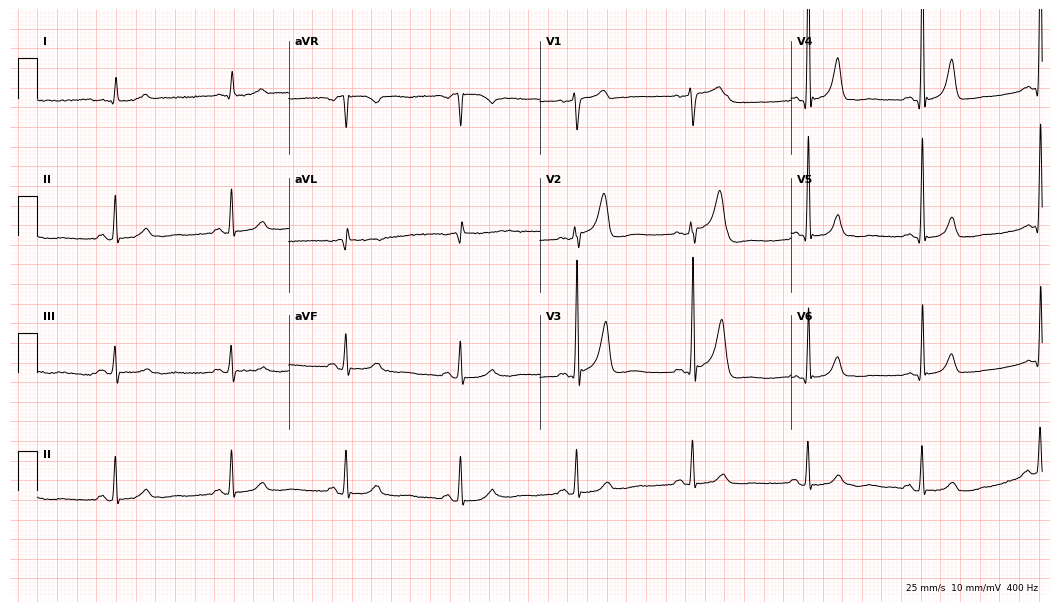
Standard 12-lead ECG recorded from a 79-year-old man. Read as a normal ECG.